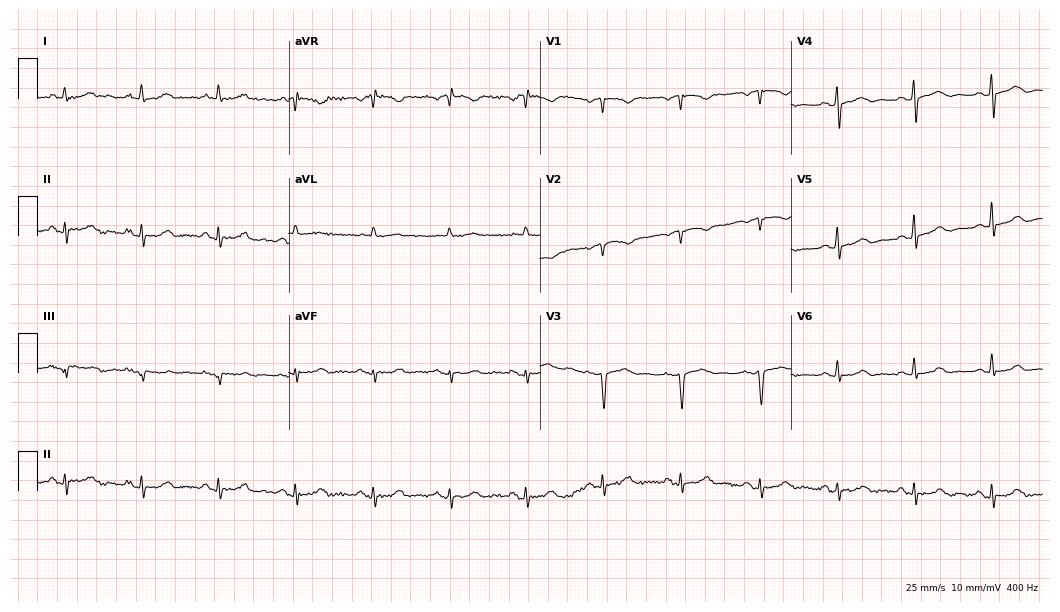
Resting 12-lead electrocardiogram (10.2-second recording at 400 Hz). Patient: a 71-year-old female. None of these six findings is recorded: first-degree AV block, right bundle branch block, left bundle branch block, sinus bradycardia, atrial fibrillation, sinus tachycardia. Findings outside these six are not listed.